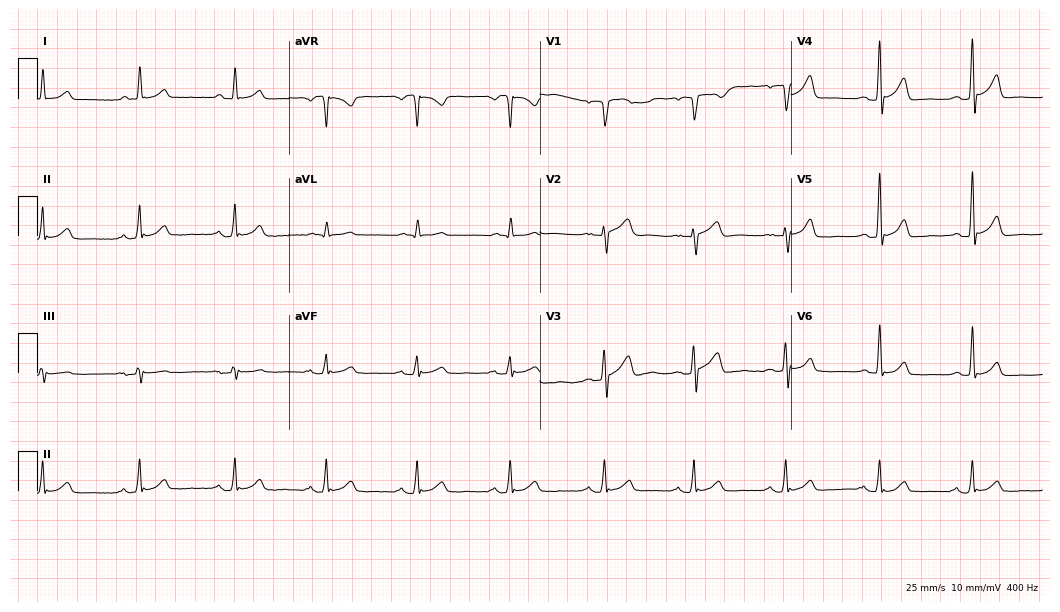
12-lead ECG from a male, 55 years old. Recorded interpretation: within normal limits.